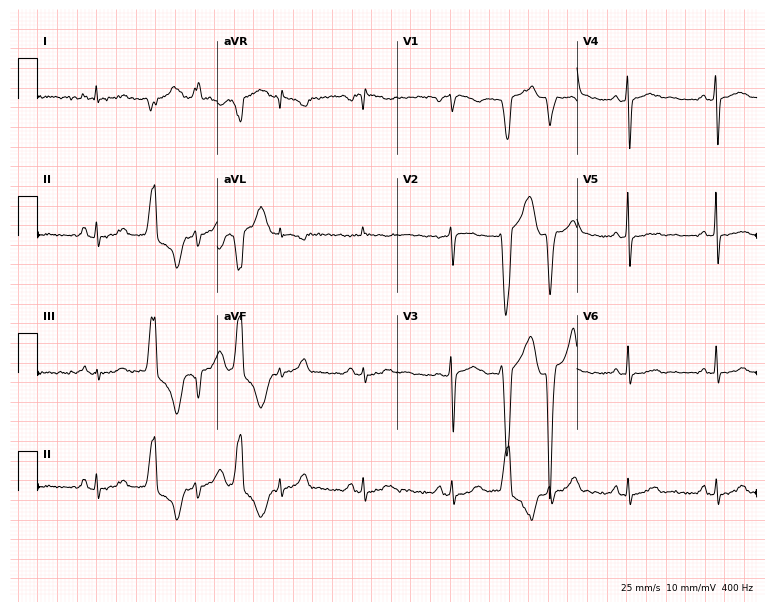
12-lead ECG (7.3-second recording at 400 Hz) from a female patient, 52 years old. Screened for six findings — first-degree AV block, right bundle branch block, left bundle branch block, sinus bradycardia, atrial fibrillation, sinus tachycardia — none is recorded.